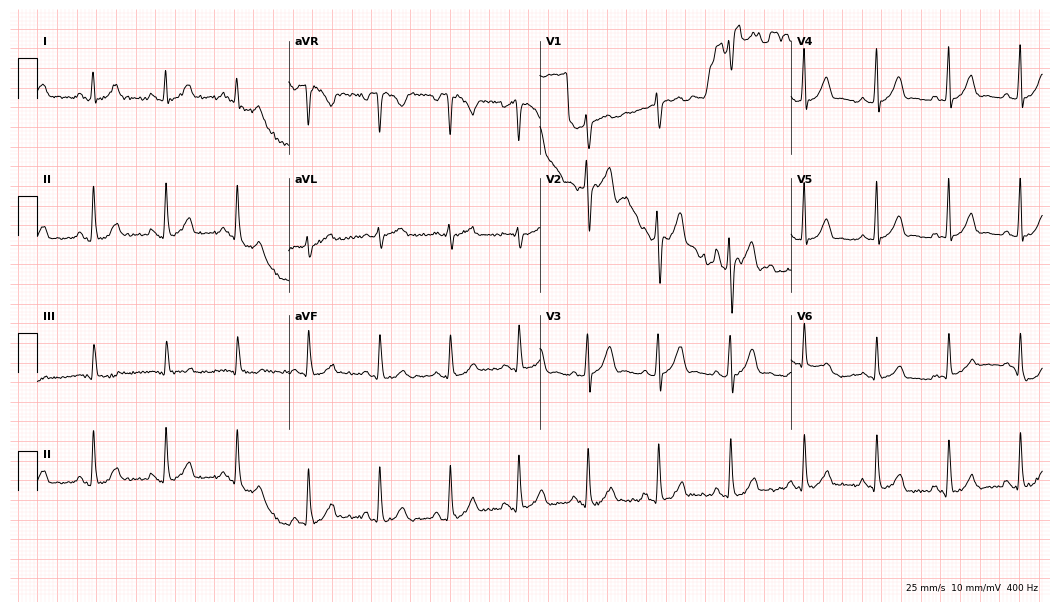
Resting 12-lead electrocardiogram (10.2-second recording at 400 Hz). Patient: a male, 38 years old. None of these six findings is recorded: first-degree AV block, right bundle branch block, left bundle branch block, sinus bradycardia, atrial fibrillation, sinus tachycardia. Findings outside these six are not listed.